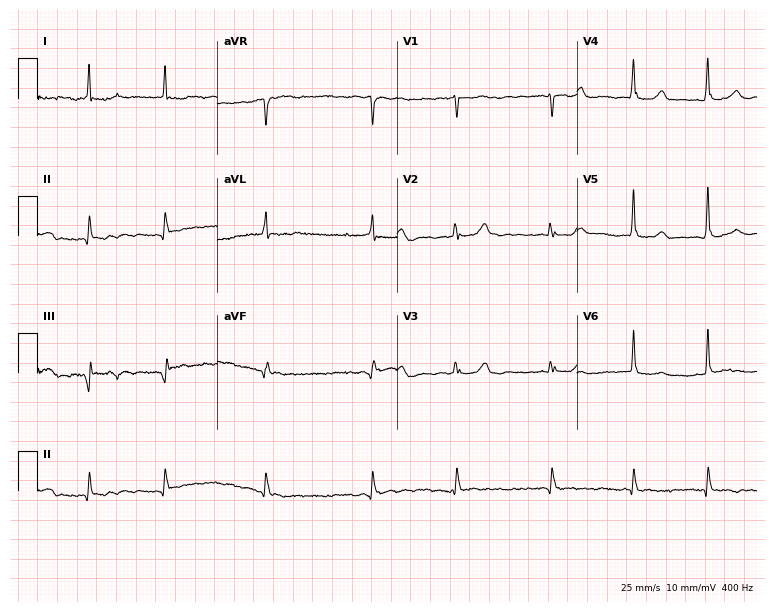
ECG (7.3-second recording at 400 Hz) — a 75-year-old woman. Findings include atrial fibrillation (AF).